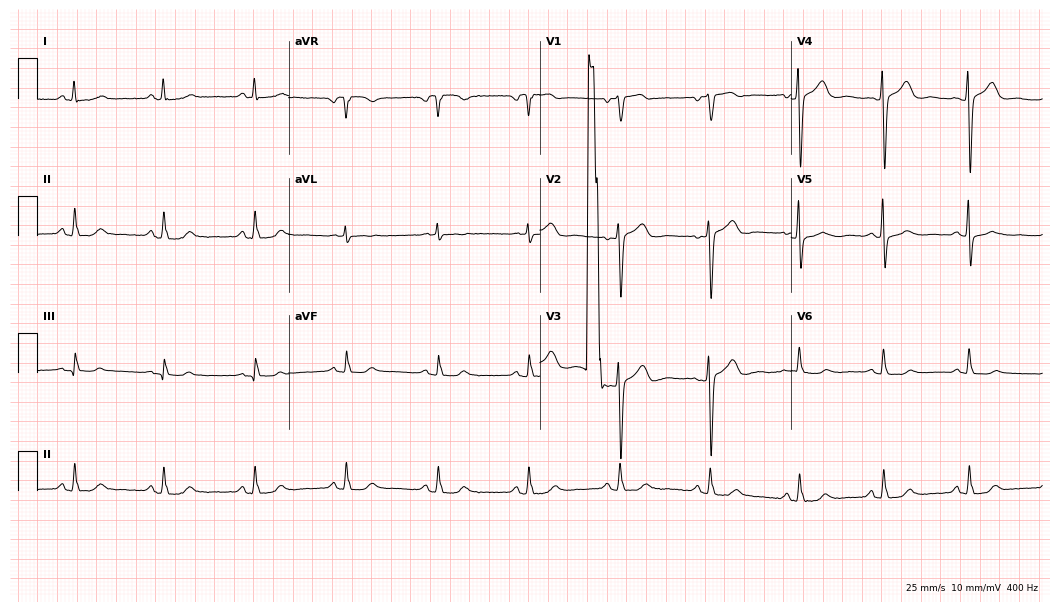
ECG — a 57-year-old woman. Labelled as a normal ECG.